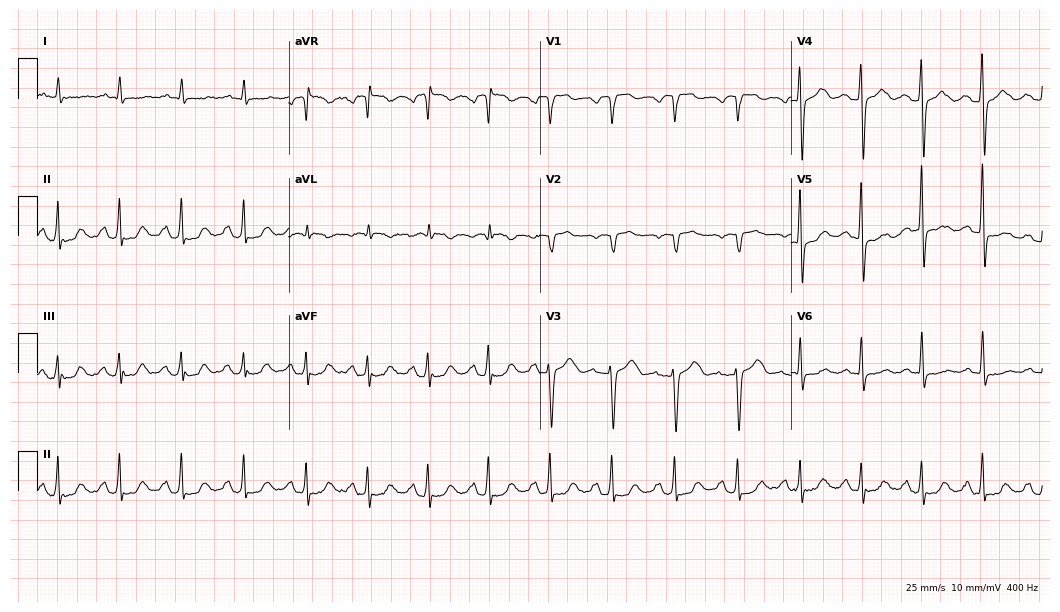
Standard 12-lead ECG recorded from a female, 80 years old (10.2-second recording at 400 Hz). None of these six findings is recorded: first-degree AV block, right bundle branch block, left bundle branch block, sinus bradycardia, atrial fibrillation, sinus tachycardia.